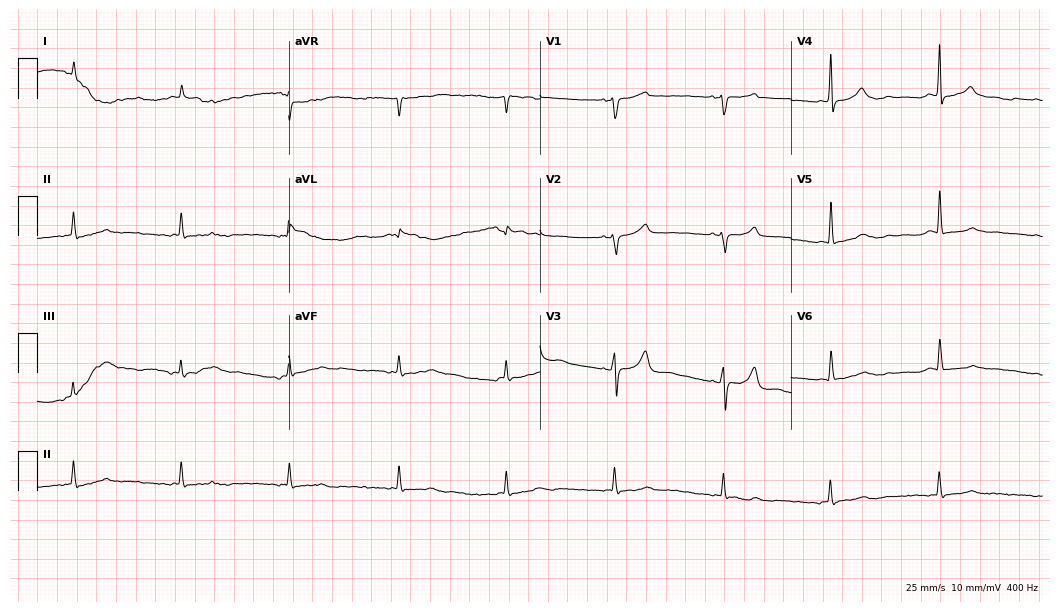
12-lead ECG from a 75-year-old male. No first-degree AV block, right bundle branch block (RBBB), left bundle branch block (LBBB), sinus bradycardia, atrial fibrillation (AF) or sinus tachycardia recorded for this tracing.